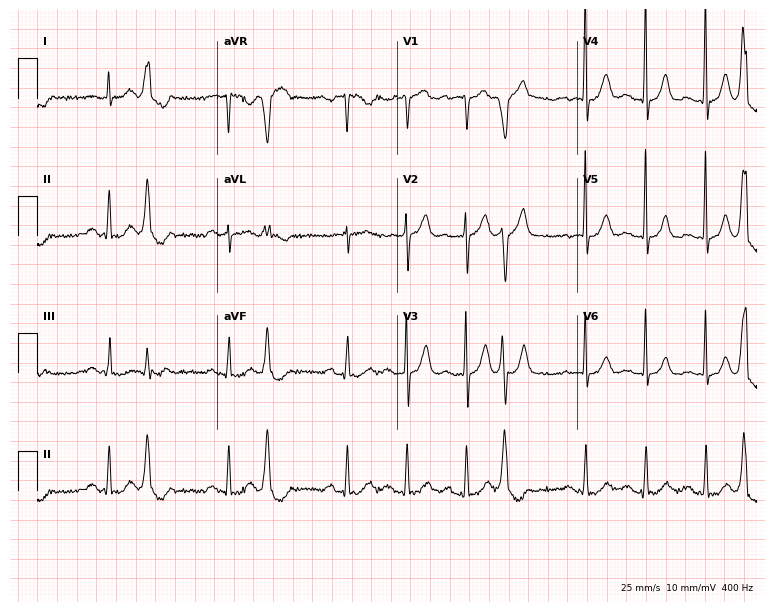
ECG — a male patient, 75 years old. Screened for six findings — first-degree AV block, right bundle branch block (RBBB), left bundle branch block (LBBB), sinus bradycardia, atrial fibrillation (AF), sinus tachycardia — none is recorded. Only these six findings were labelled.